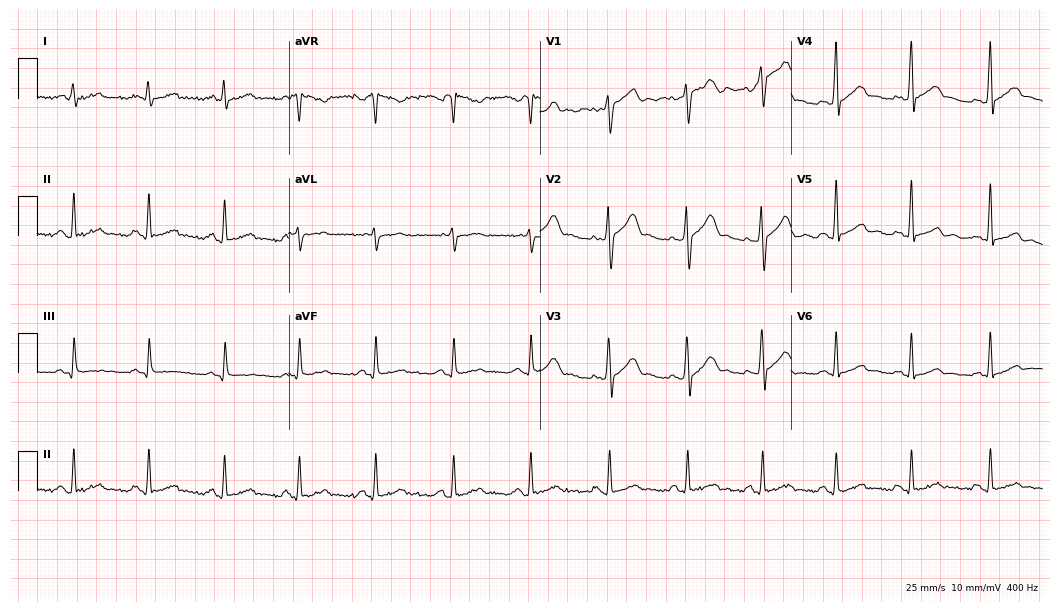
12-lead ECG from a male patient, 35 years old. Labelled as a normal ECG.